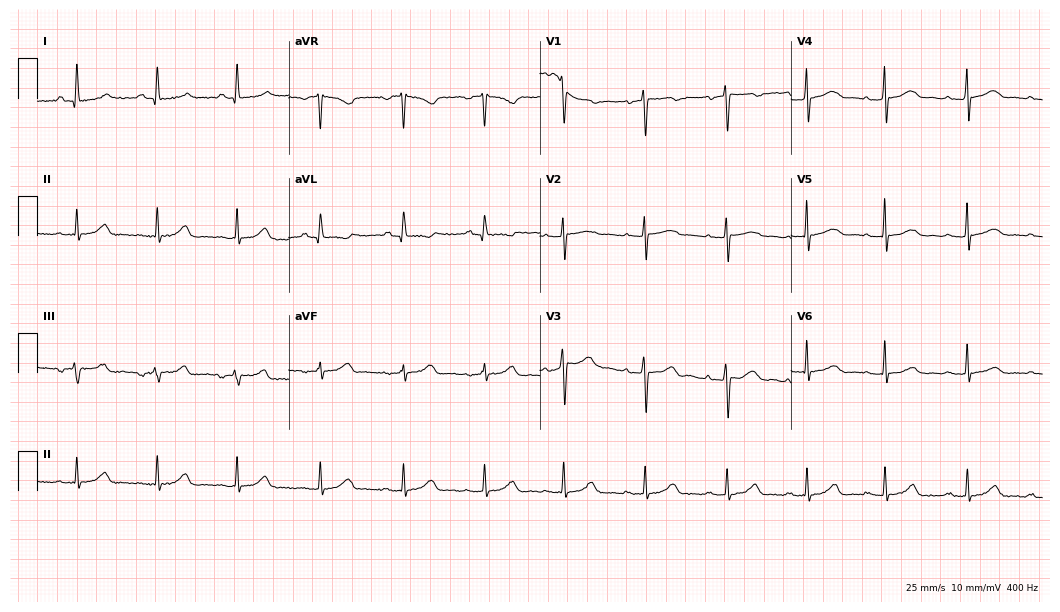
ECG — a 33-year-old woman. Labelled as a normal ECG.